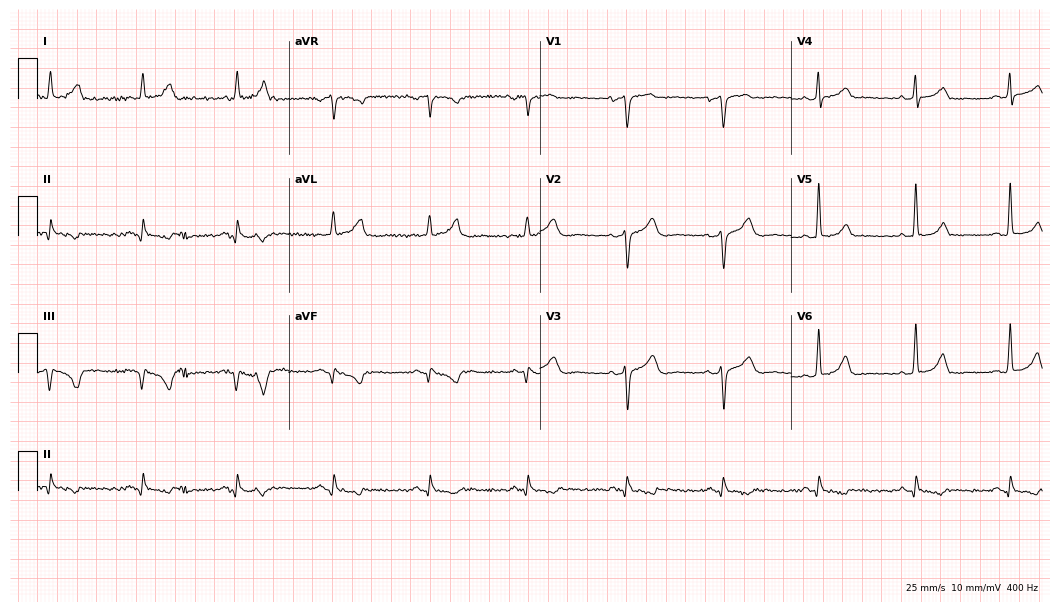
Electrocardiogram, a male, 41 years old. Of the six screened findings (first-degree AV block, right bundle branch block, left bundle branch block, sinus bradycardia, atrial fibrillation, sinus tachycardia), none is recorded.